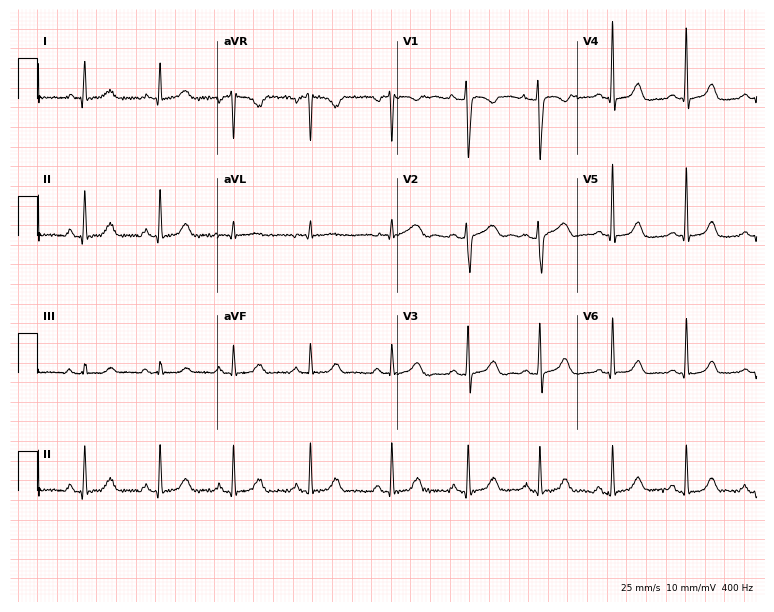
12-lead ECG from a 22-year-old woman. Screened for six findings — first-degree AV block, right bundle branch block, left bundle branch block, sinus bradycardia, atrial fibrillation, sinus tachycardia — none is recorded. Findings outside these six are not listed.